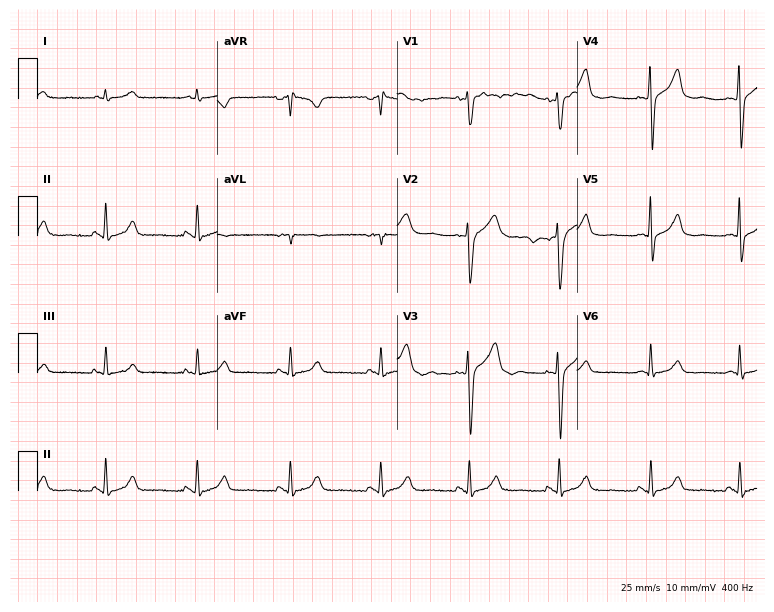
Electrocardiogram (7.3-second recording at 400 Hz), a man, 54 years old. Of the six screened findings (first-degree AV block, right bundle branch block, left bundle branch block, sinus bradycardia, atrial fibrillation, sinus tachycardia), none is recorded. Findings outside these six are not listed.